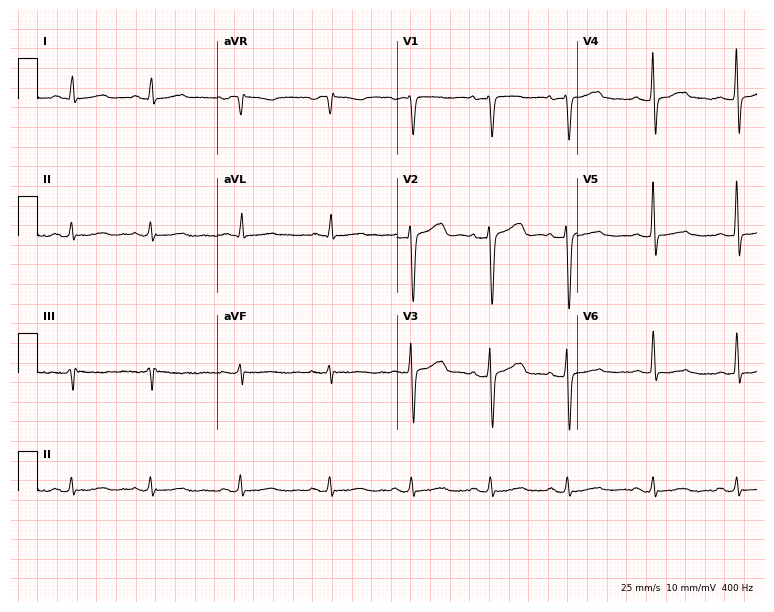
Standard 12-lead ECG recorded from a woman, 40 years old (7.3-second recording at 400 Hz). None of these six findings is recorded: first-degree AV block, right bundle branch block (RBBB), left bundle branch block (LBBB), sinus bradycardia, atrial fibrillation (AF), sinus tachycardia. Other findings, if any, are not listed.